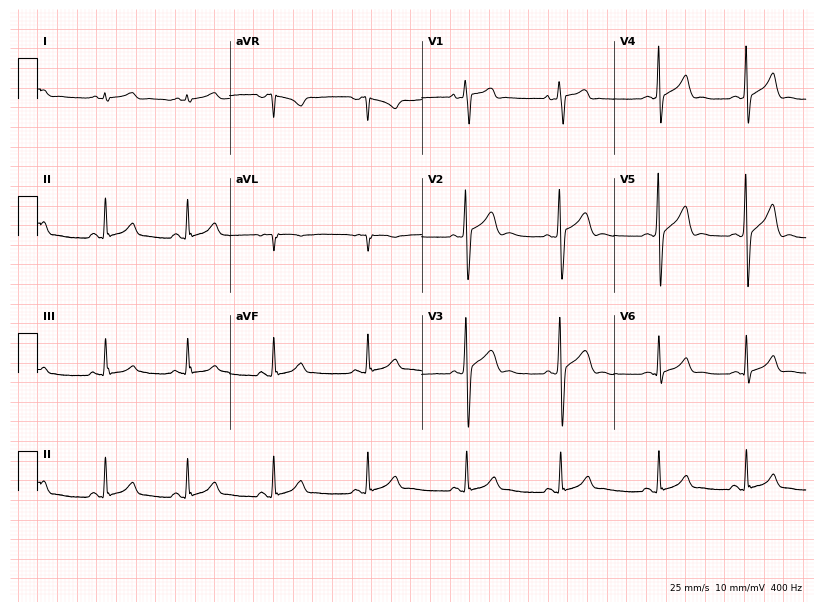
12-lead ECG from a 21-year-old male. Recorded interpretation: within normal limits.